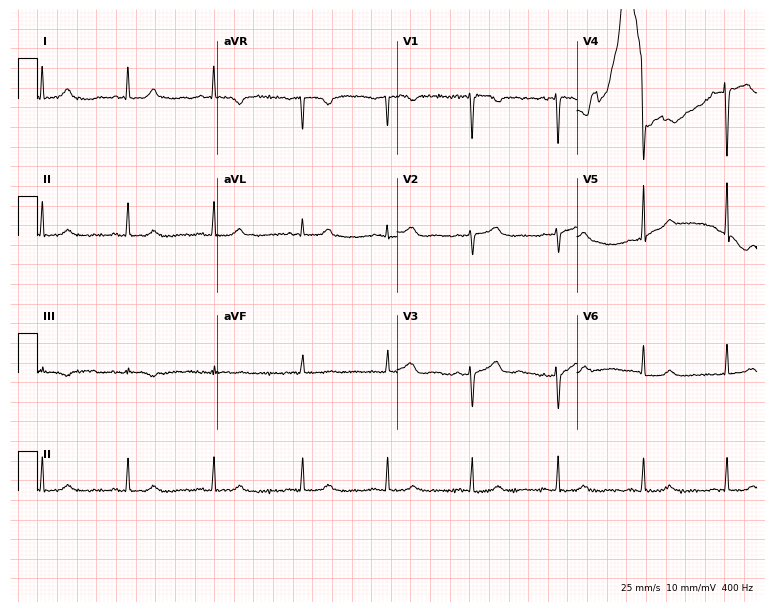
ECG — a 49-year-old woman. Screened for six findings — first-degree AV block, right bundle branch block, left bundle branch block, sinus bradycardia, atrial fibrillation, sinus tachycardia — none is recorded. Findings outside these six are not listed.